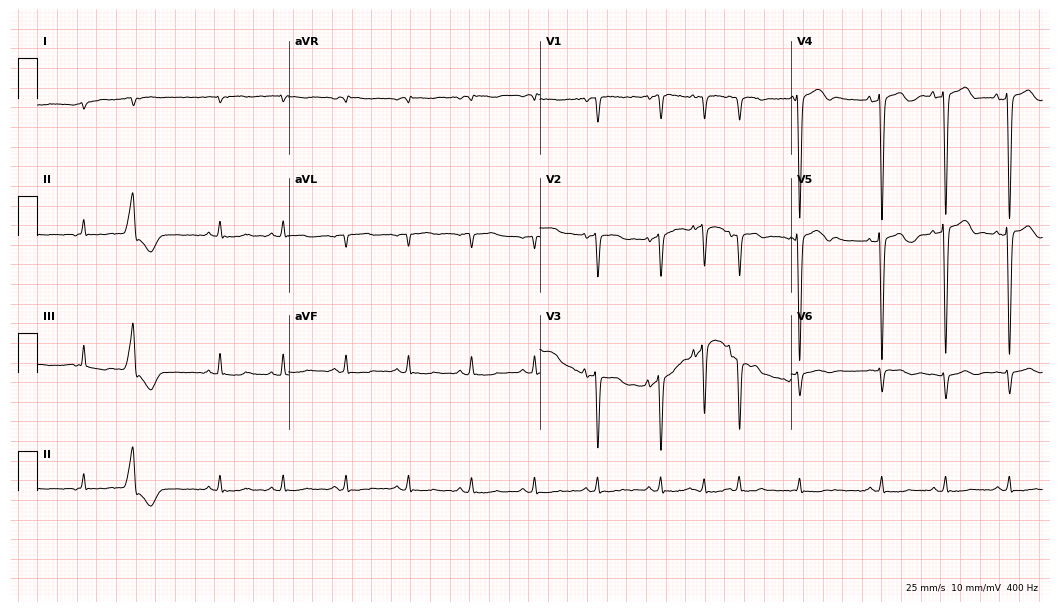
Electrocardiogram, a woman, 77 years old. Of the six screened findings (first-degree AV block, right bundle branch block (RBBB), left bundle branch block (LBBB), sinus bradycardia, atrial fibrillation (AF), sinus tachycardia), none is recorded. Other findings, if any, are not listed.